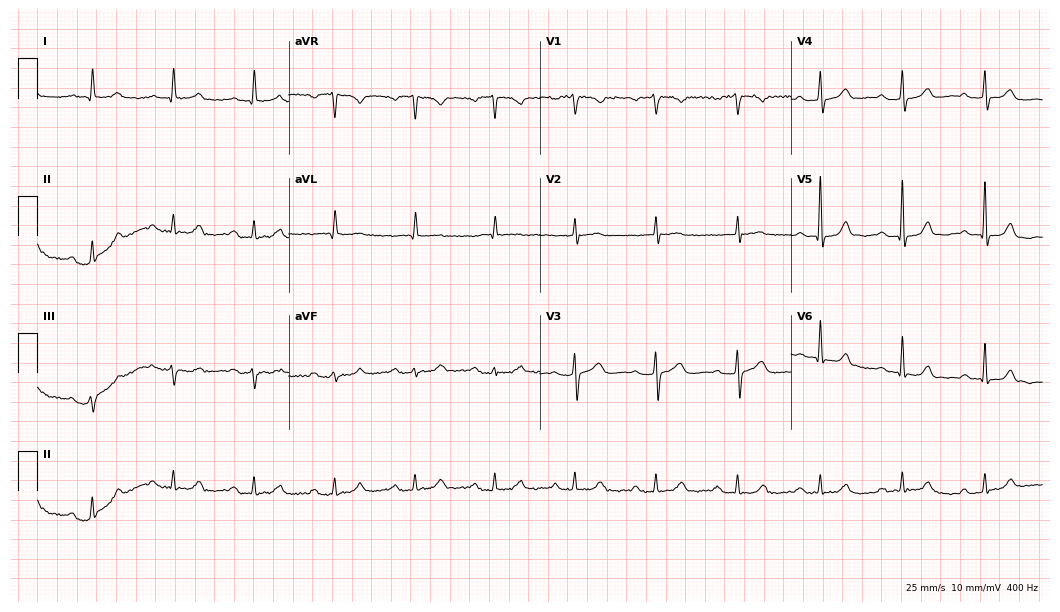
Standard 12-lead ECG recorded from an 82-year-old female patient (10.2-second recording at 400 Hz). Read as a normal ECG.